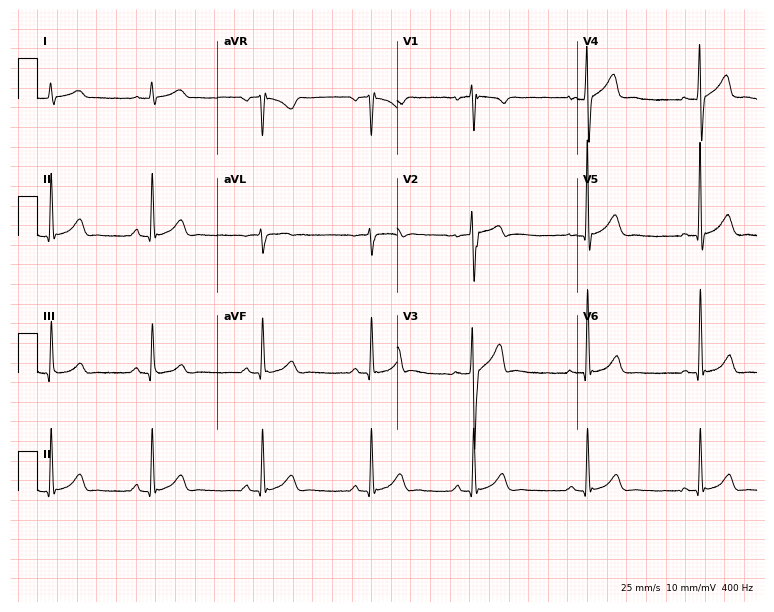
12-lead ECG from a 27-year-old male (7.3-second recording at 400 Hz). Recorded interpretation: within normal limits.